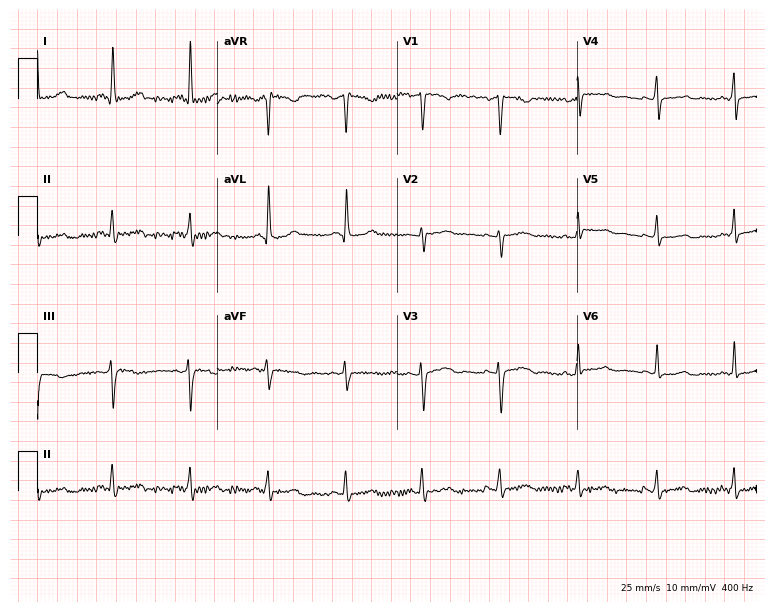
Standard 12-lead ECG recorded from a female, 33 years old (7.3-second recording at 400 Hz). None of these six findings is recorded: first-degree AV block, right bundle branch block (RBBB), left bundle branch block (LBBB), sinus bradycardia, atrial fibrillation (AF), sinus tachycardia. Only these six findings were labelled.